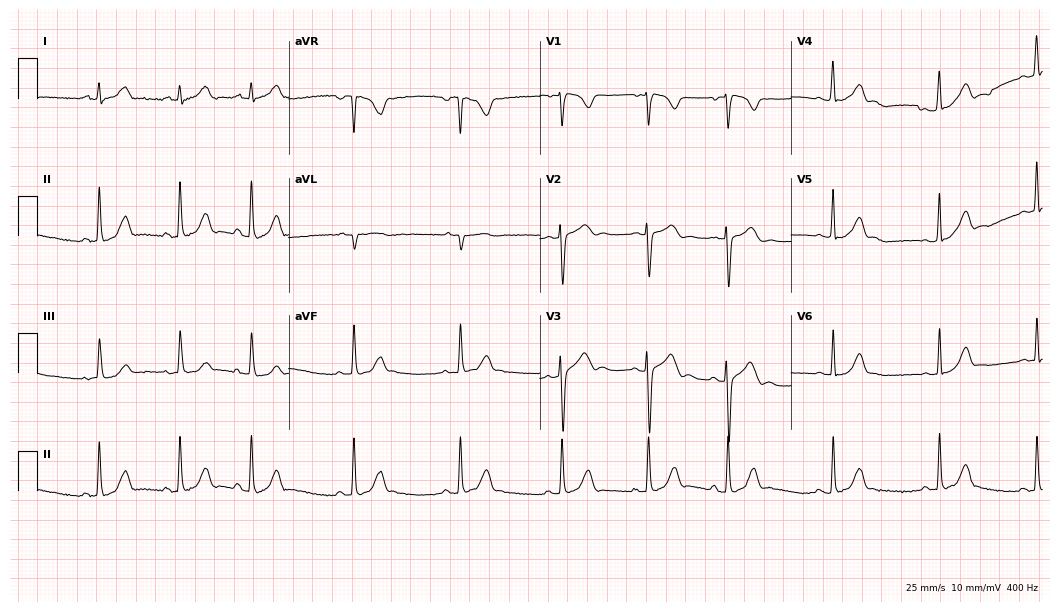
12-lead ECG from a woman, 23 years old (10.2-second recording at 400 Hz). Recorded interpretation: within normal limits.